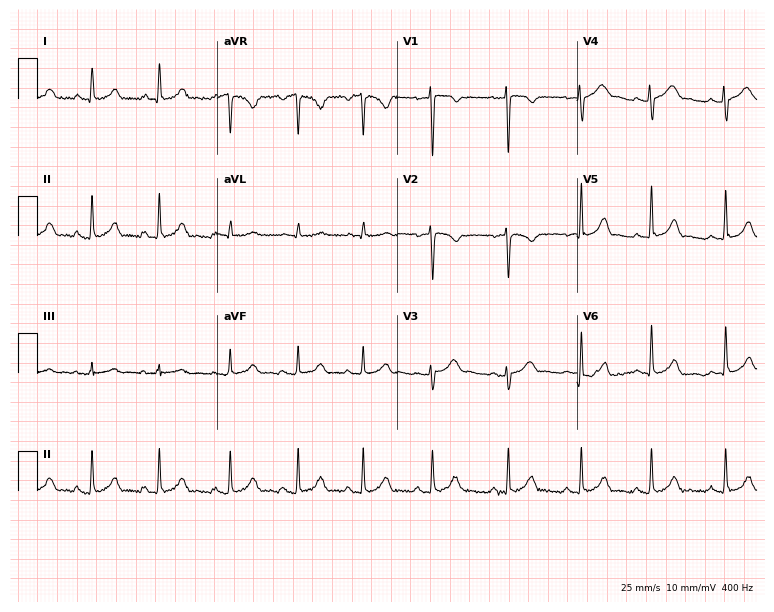
12-lead ECG from a 31-year-old woman. Recorded interpretation: within normal limits.